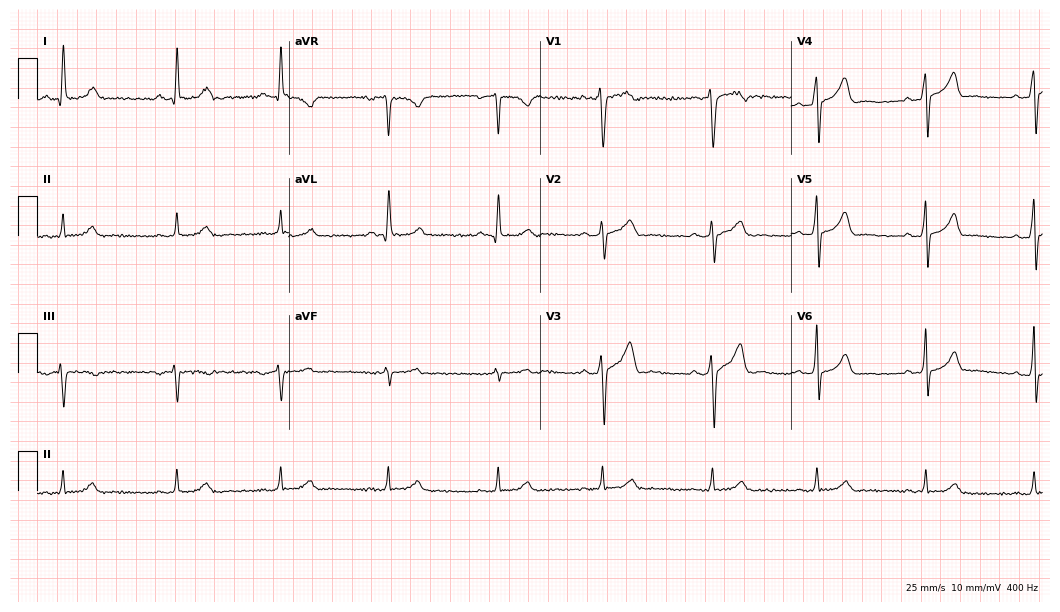
Electrocardiogram (10.2-second recording at 400 Hz), a male patient, 90 years old or older. Overall reading on record: normal ECG.